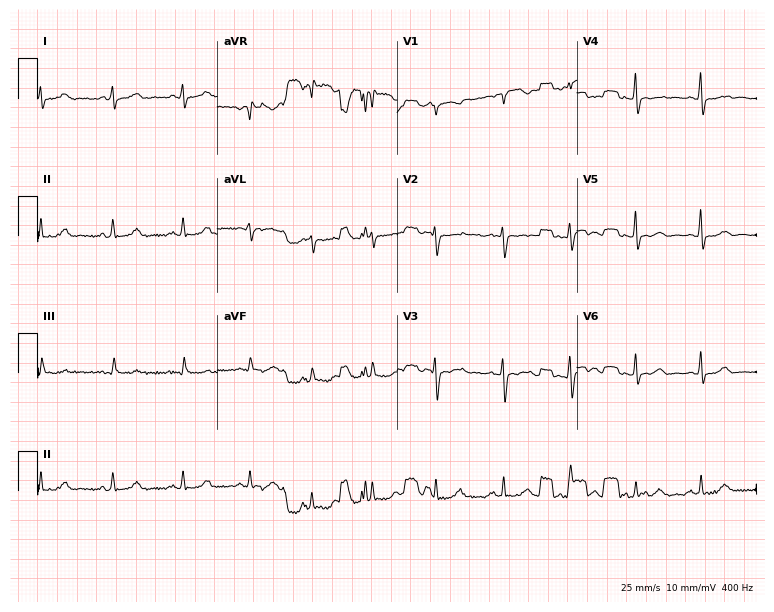
12-lead ECG (7.3-second recording at 400 Hz) from a female, 26 years old. Screened for six findings — first-degree AV block, right bundle branch block, left bundle branch block, sinus bradycardia, atrial fibrillation, sinus tachycardia — none is recorded.